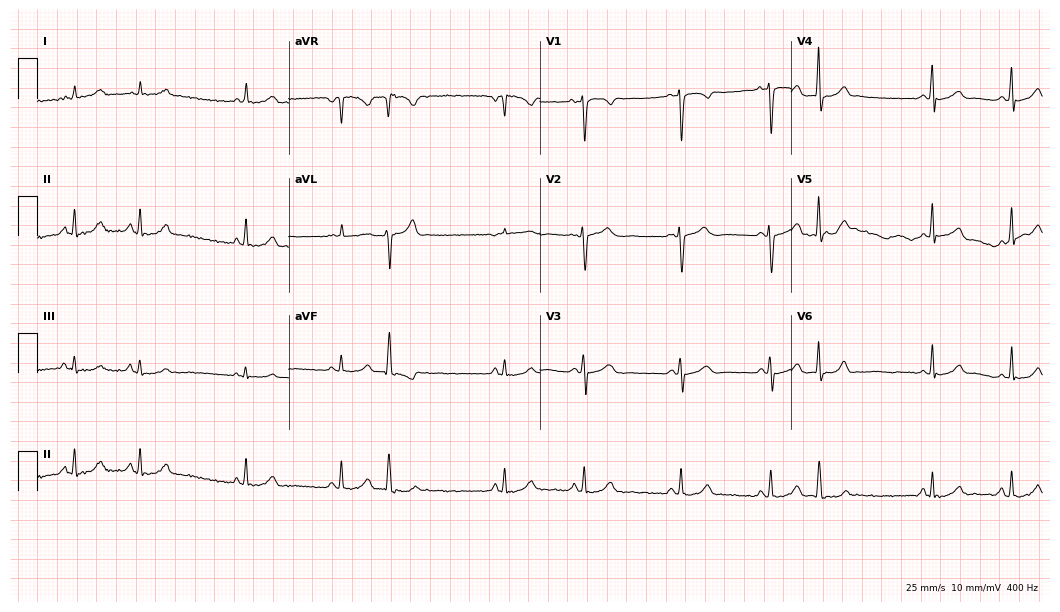
12-lead ECG (10.2-second recording at 400 Hz) from a female, 40 years old. Screened for six findings — first-degree AV block, right bundle branch block, left bundle branch block, sinus bradycardia, atrial fibrillation, sinus tachycardia — none is recorded. Only these six findings were labelled.